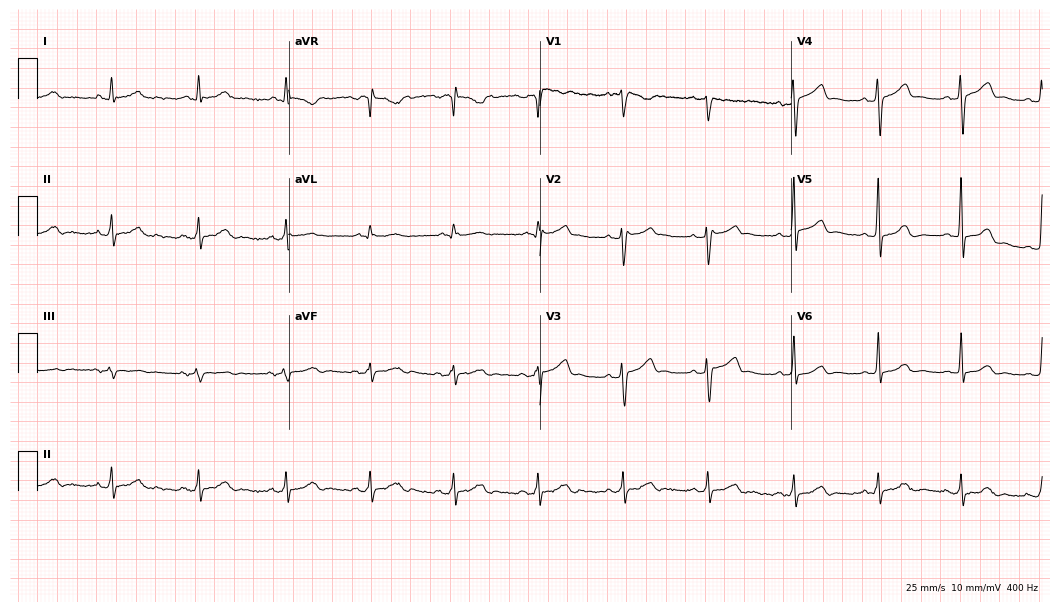
Standard 12-lead ECG recorded from a 43-year-old male patient. Read as a normal ECG.